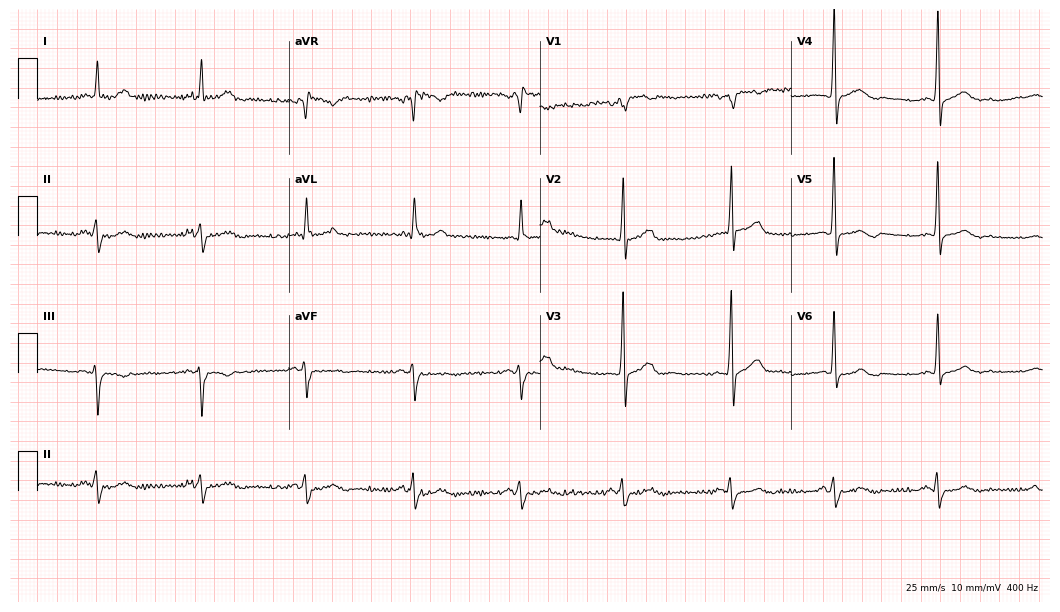
Electrocardiogram (10.2-second recording at 400 Hz), a 56-year-old male. Of the six screened findings (first-degree AV block, right bundle branch block, left bundle branch block, sinus bradycardia, atrial fibrillation, sinus tachycardia), none is recorded.